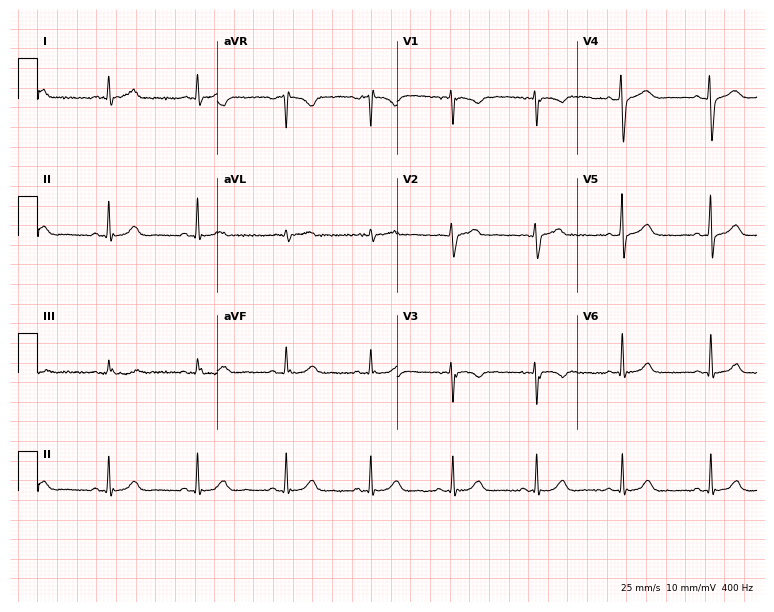
ECG (7.3-second recording at 400 Hz) — a female, 37 years old. Labelled as a normal ECG.